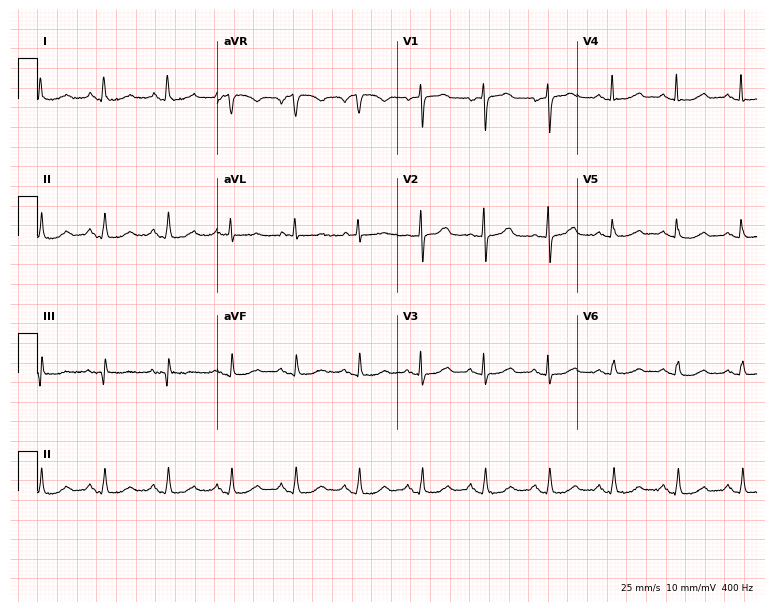
Electrocardiogram, an 80-year-old female patient. Overall reading on record: normal ECG.